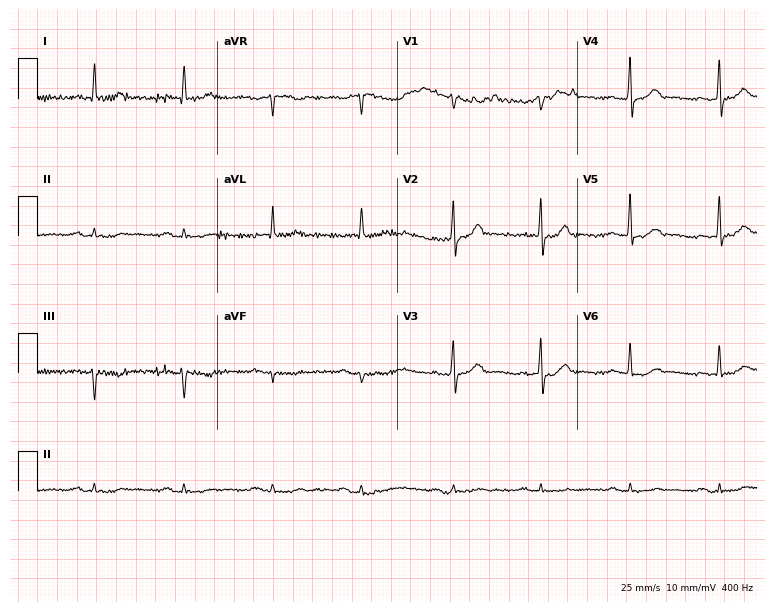
12-lead ECG from a 72-year-old male. No first-degree AV block, right bundle branch block, left bundle branch block, sinus bradycardia, atrial fibrillation or sinus tachycardia recorded for this tracing.